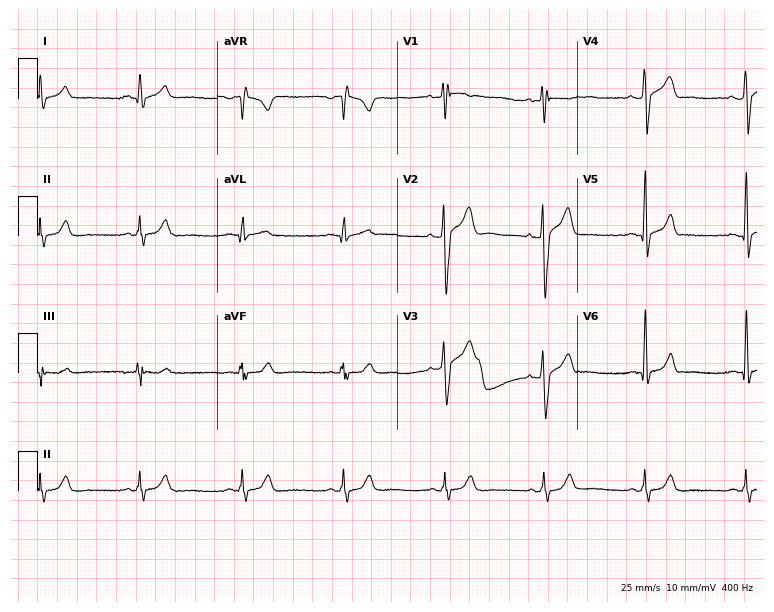
Electrocardiogram, a male, 28 years old. Of the six screened findings (first-degree AV block, right bundle branch block, left bundle branch block, sinus bradycardia, atrial fibrillation, sinus tachycardia), none is recorded.